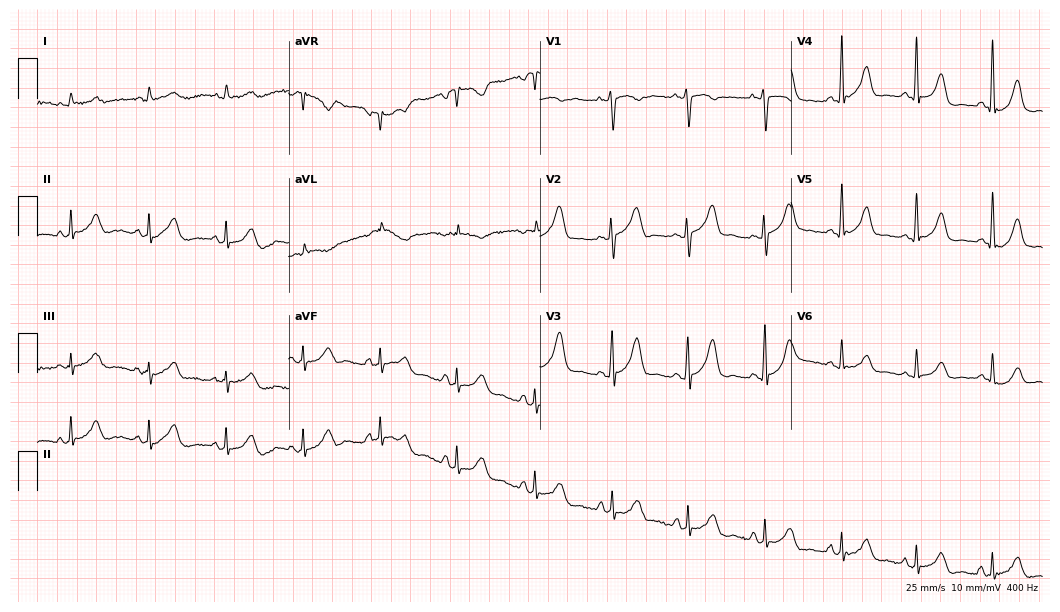
12-lead ECG (10.2-second recording at 400 Hz) from an 84-year-old female. Labelled as a normal ECG.